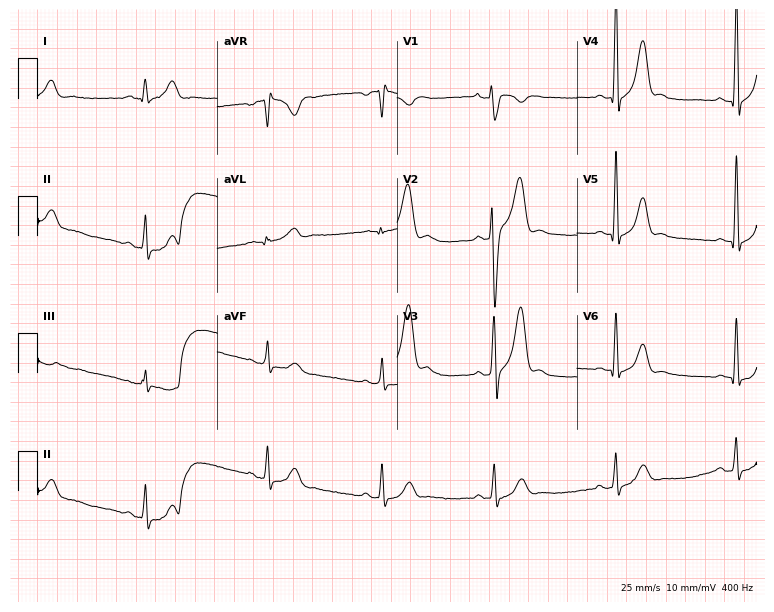
12-lead ECG (7.3-second recording at 400 Hz) from a man, 28 years old. Findings include sinus bradycardia (a sinus rate of 50 beats per minute or less).